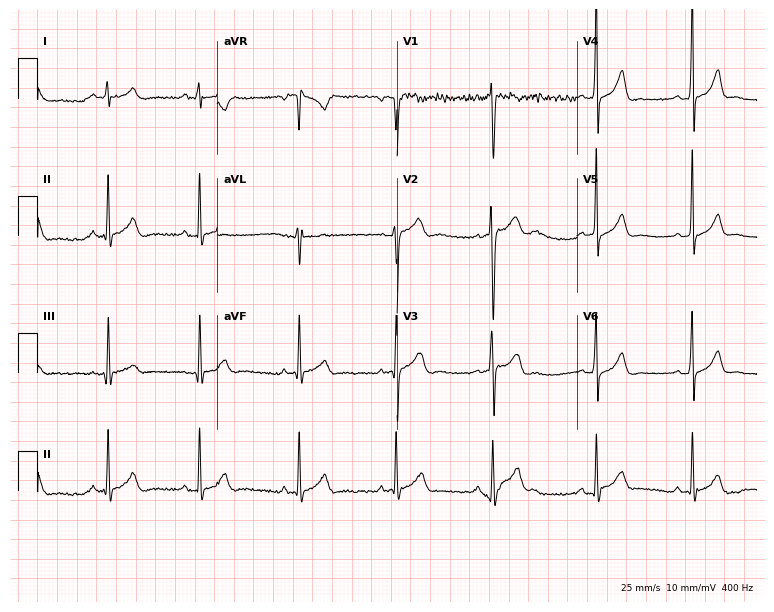
ECG — a male, 19 years old. Screened for six findings — first-degree AV block, right bundle branch block, left bundle branch block, sinus bradycardia, atrial fibrillation, sinus tachycardia — none is recorded.